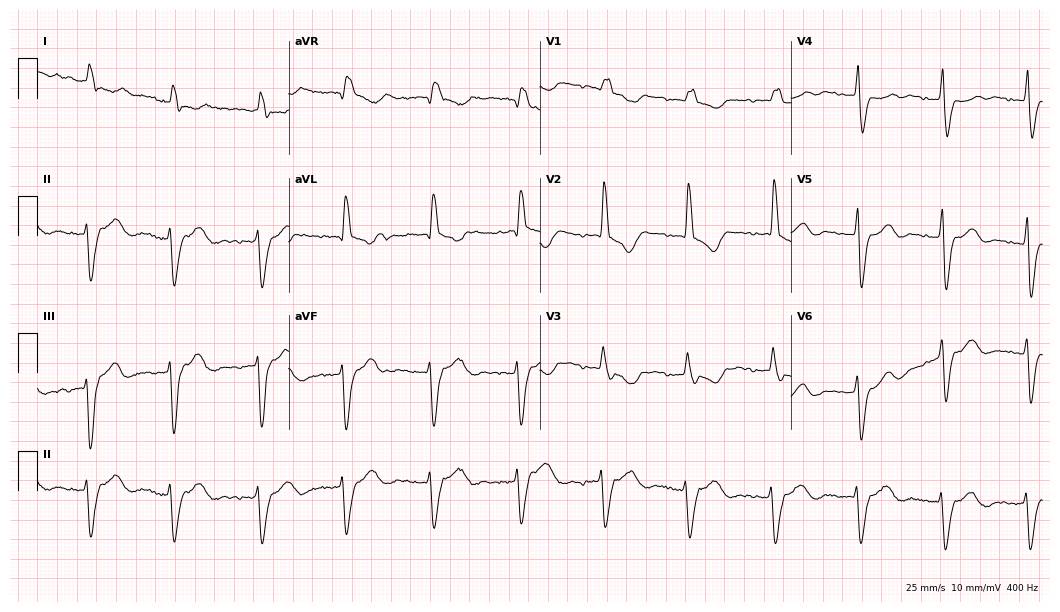
Electrocardiogram (10.2-second recording at 400 Hz), a female, 70 years old. Of the six screened findings (first-degree AV block, right bundle branch block, left bundle branch block, sinus bradycardia, atrial fibrillation, sinus tachycardia), none is recorded. Only these six findings were labelled.